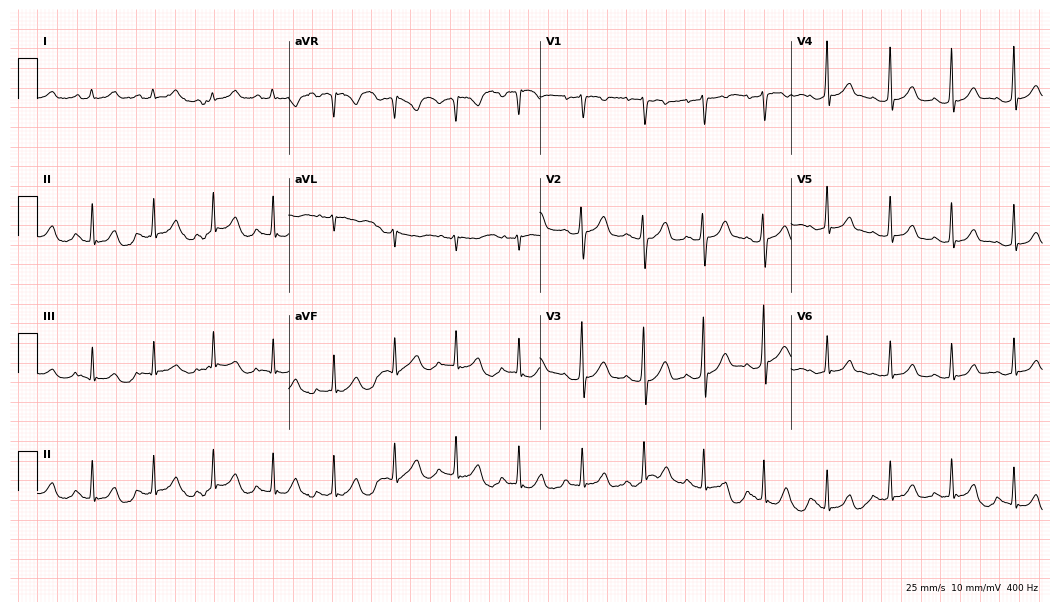
ECG (10.2-second recording at 400 Hz) — a female, 17 years old. Screened for six findings — first-degree AV block, right bundle branch block (RBBB), left bundle branch block (LBBB), sinus bradycardia, atrial fibrillation (AF), sinus tachycardia — none is recorded. Findings outside these six are not listed.